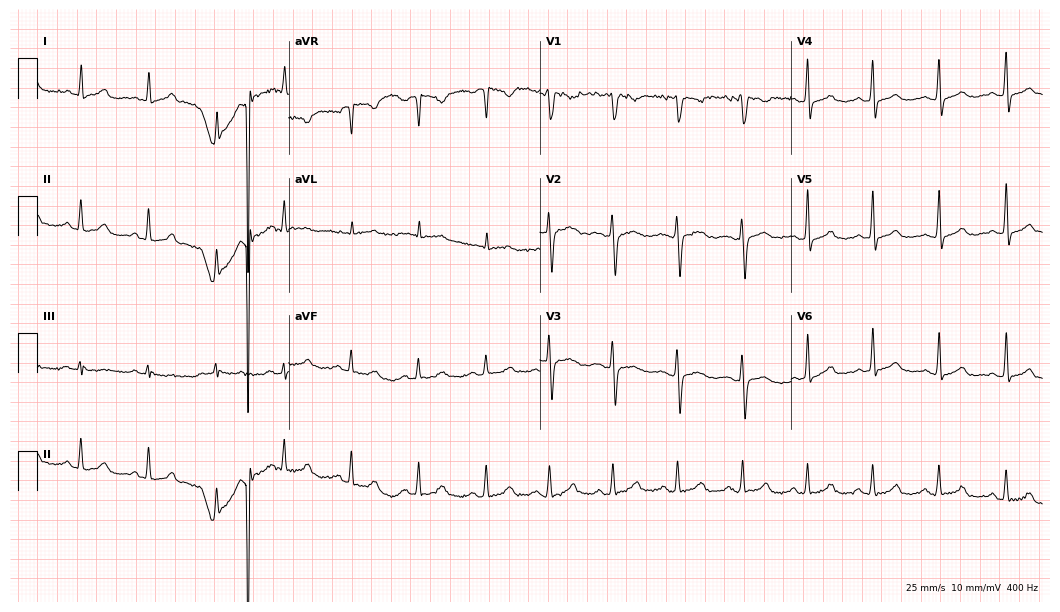
ECG (10.2-second recording at 400 Hz) — a 39-year-old female patient. Screened for six findings — first-degree AV block, right bundle branch block (RBBB), left bundle branch block (LBBB), sinus bradycardia, atrial fibrillation (AF), sinus tachycardia — none is recorded. Other findings, if any, are not listed.